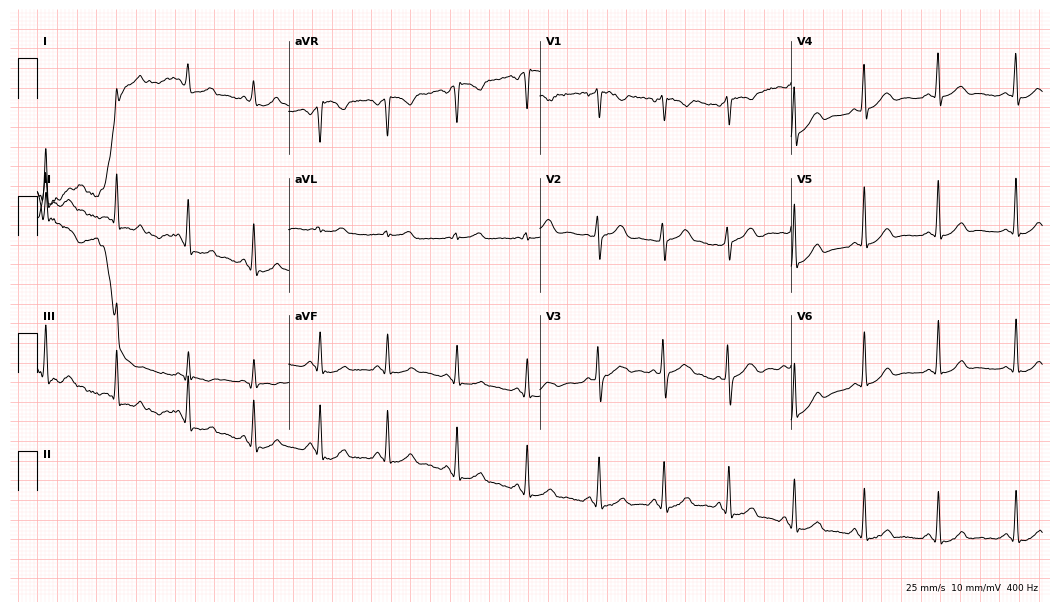
12-lead ECG from a female patient, 31 years old. Recorded interpretation: within normal limits.